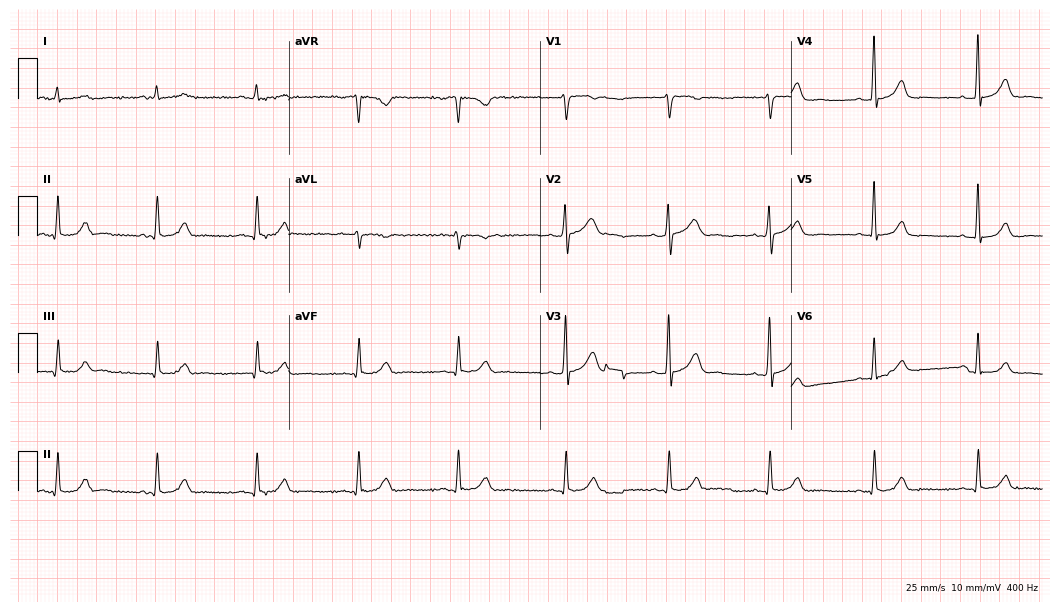
Resting 12-lead electrocardiogram. Patient: a man, 58 years old. None of these six findings is recorded: first-degree AV block, right bundle branch block (RBBB), left bundle branch block (LBBB), sinus bradycardia, atrial fibrillation (AF), sinus tachycardia. Other findings, if any, are not listed.